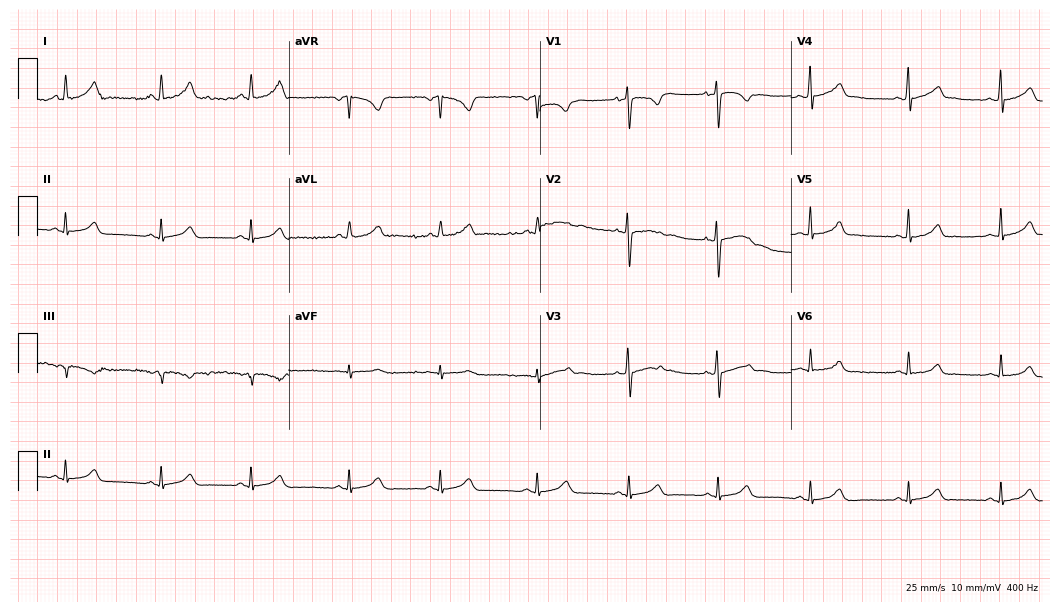
Electrocardiogram, a 22-year-old woman. Overall reading on record: normal ECG.